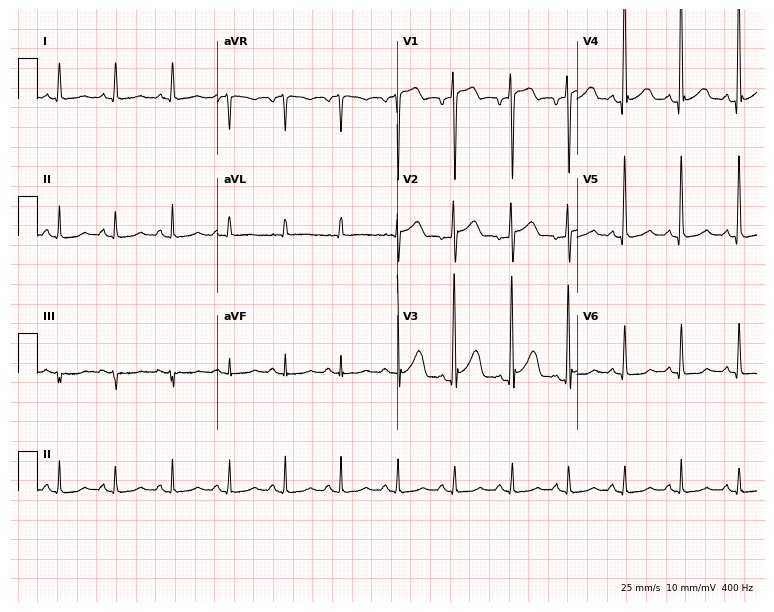
ECG — an 80-year-old female patient. Findings include sinus tachycardia (a sinus rate of 100 beats per minute or more).